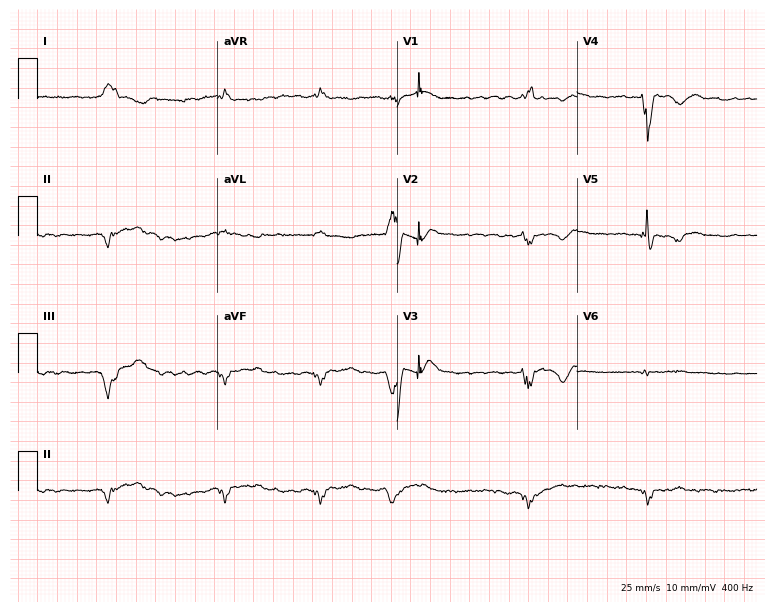
Electrocardiogram, a 71-year-old man. Interpretation includes right bundle branch block (RBBB), atrial fibrillation (AF).